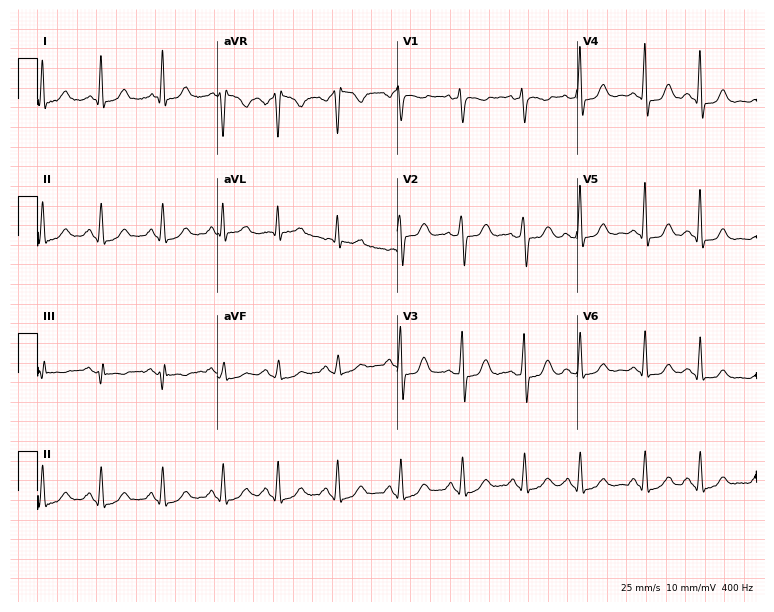
ECG (7.3-second recording at 400 Hz) — a 60-year-old female patient. Screened for six findings — first-degree AV block, right bundle branch block, left bundle branch block, sinus bradycardia, atrial fibrillation, sinus tachycardia — none is recorded.